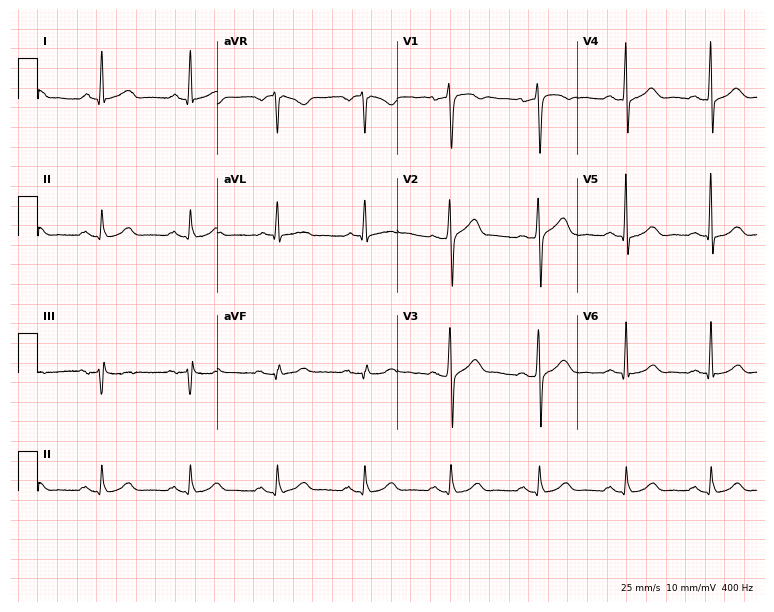
Electrocardiogram (7.3-second recording at 400 Hz), a 50-year-old male. Of the six screened findings (first-degree AV block, right bundle branch block, left bundle branch block, sinus bradycardia, atrial fibrillation, sinus tachycardia), none is recorded. Other findings, if any, are not listed.